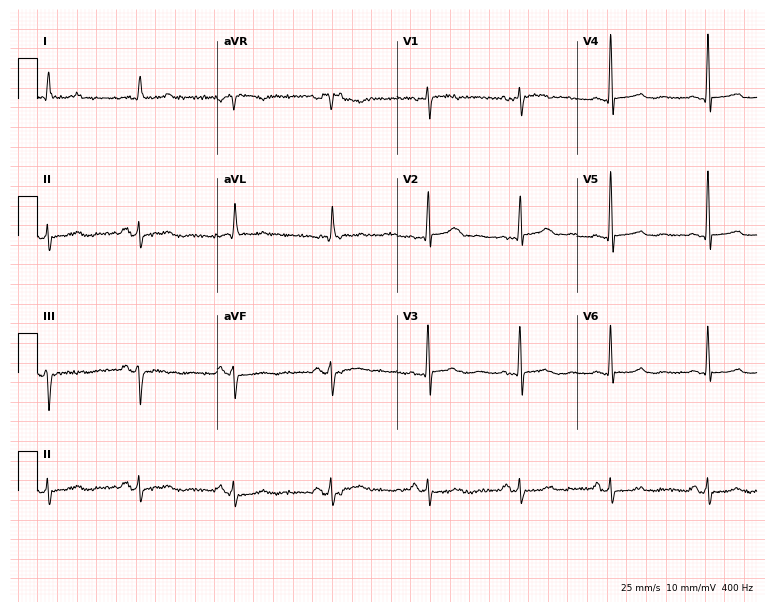
Electrocardiogram (7.3-second recording at 400 Hz), a woman, 59 years old. Of the six screened findings (first-degree AV block, right bundle branch block (RBBB), left bundle branch block (LBBB), sinus bradycardia, atrial fibrillation (AF), sinus tachycardia), none is recorded. Findings outside these six are not listed.